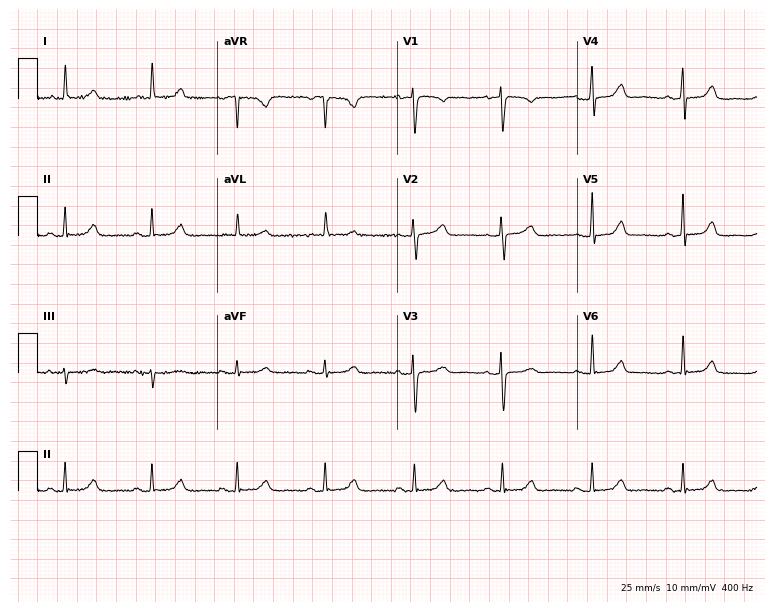
Resting 12-lead electrocardiogram. Patient: a 58-year-old female. Read as a normal ECG.